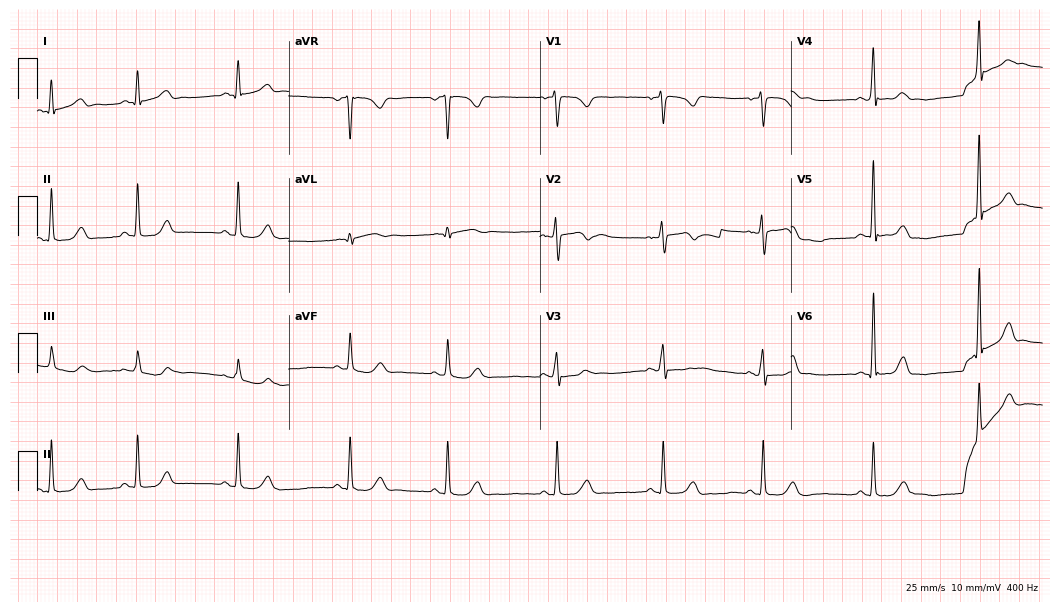
12-lead ECG (10.2-second recording at 400 Hz) from a female patient, 19 years old. Labelled as a normal ECG.